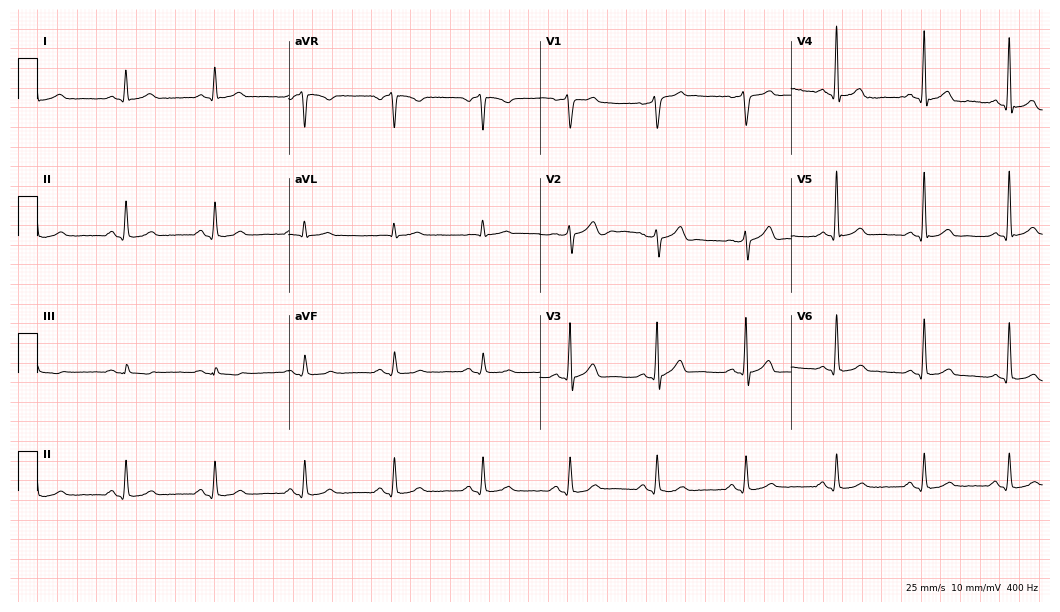
Standard 12-lead ECG recorded from a 63-year-old man. Read as a normal ECG.